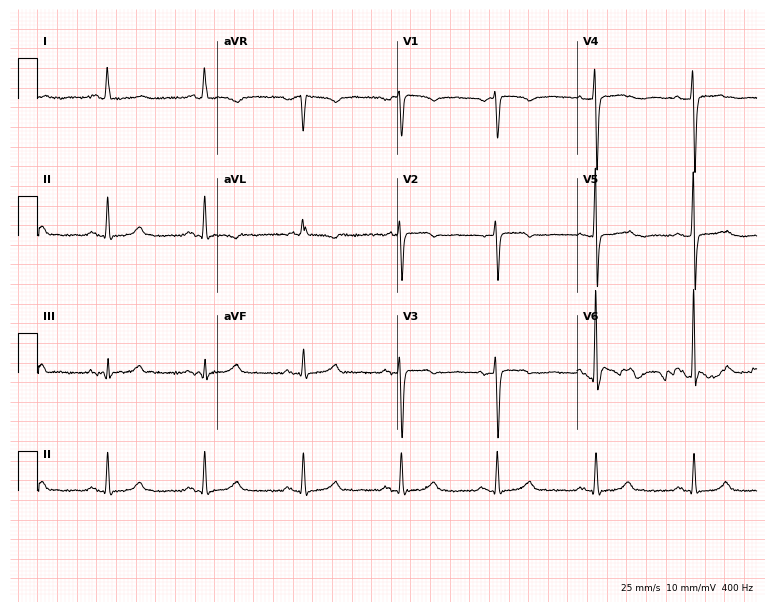
12-lead ECG from a woman, 77 years old. Recorded interpretation: within normal limits.